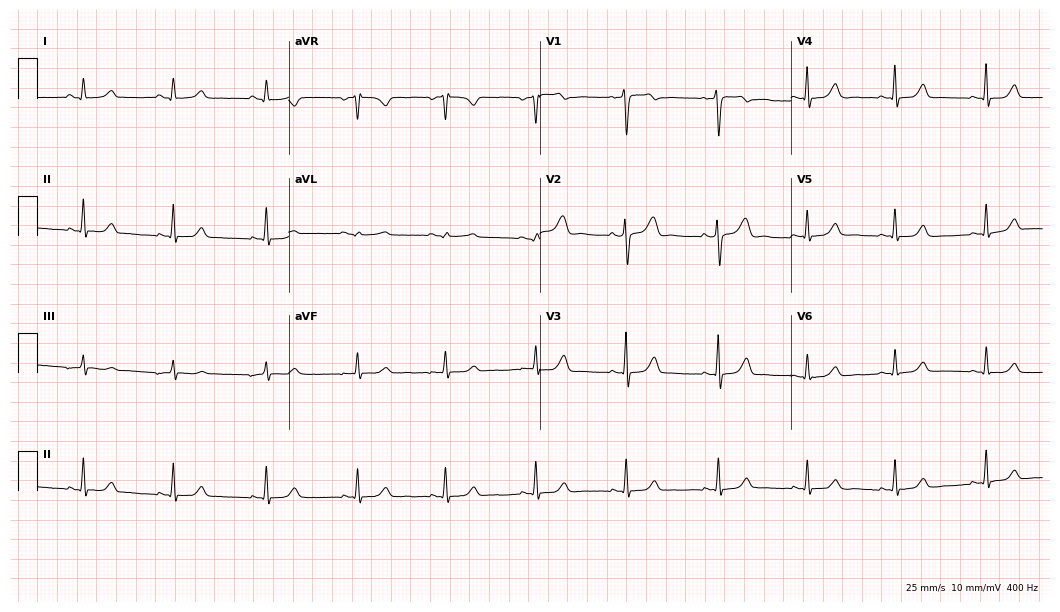
12-lead ECG from a 23-year-old woman (10.2-second recording at 400 Hz). Recorded interpretation: within normal limits.